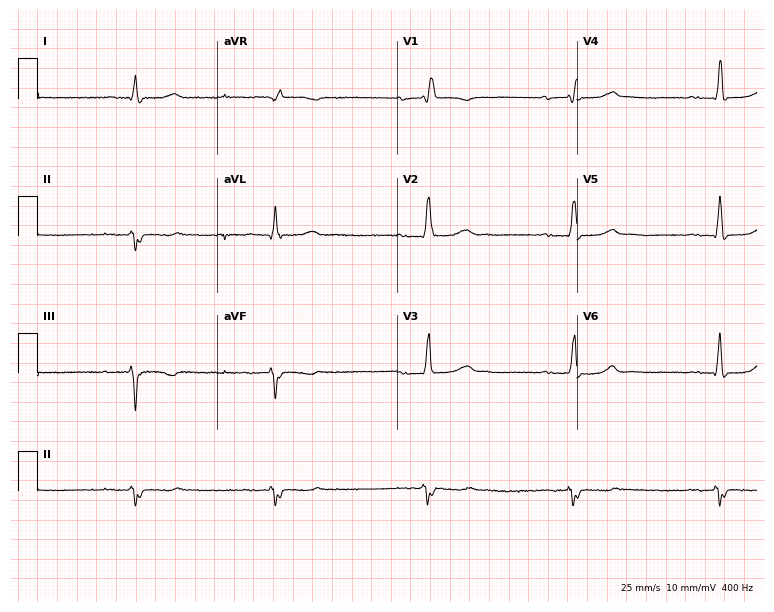
Electrocardiogram (7.3-second recording at 400 Hz), a woman, 64 years old. Of the six screened findings (first-degree AV block, right bundle branch block (RBBB), left bundle branch block (LBBB), sinus bradycardia, atrial fibrillation (AF), sinus tachycardia), none is recorded. Other findings, if any, are not listed.